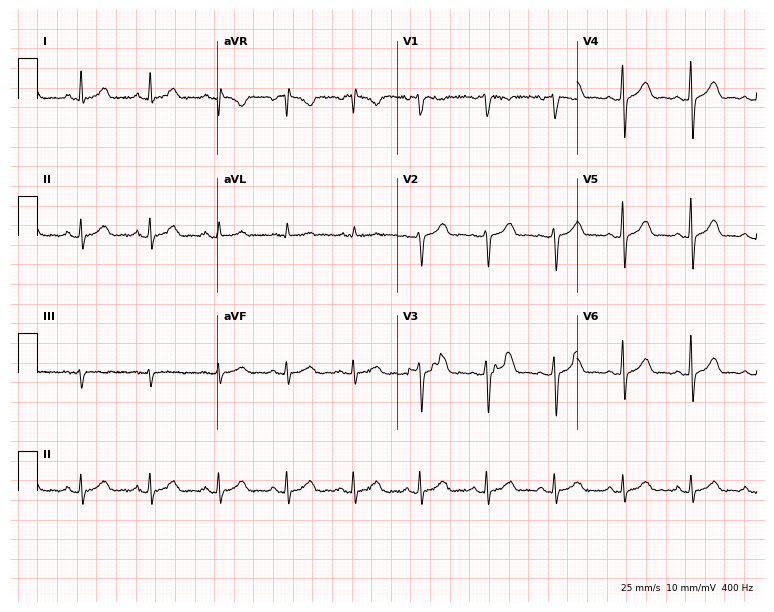
Resting 12-lead electrocardiogram (7.3-second recording at 400 Hz). Patient: a female, 29 years old. Read as a normal ECG.